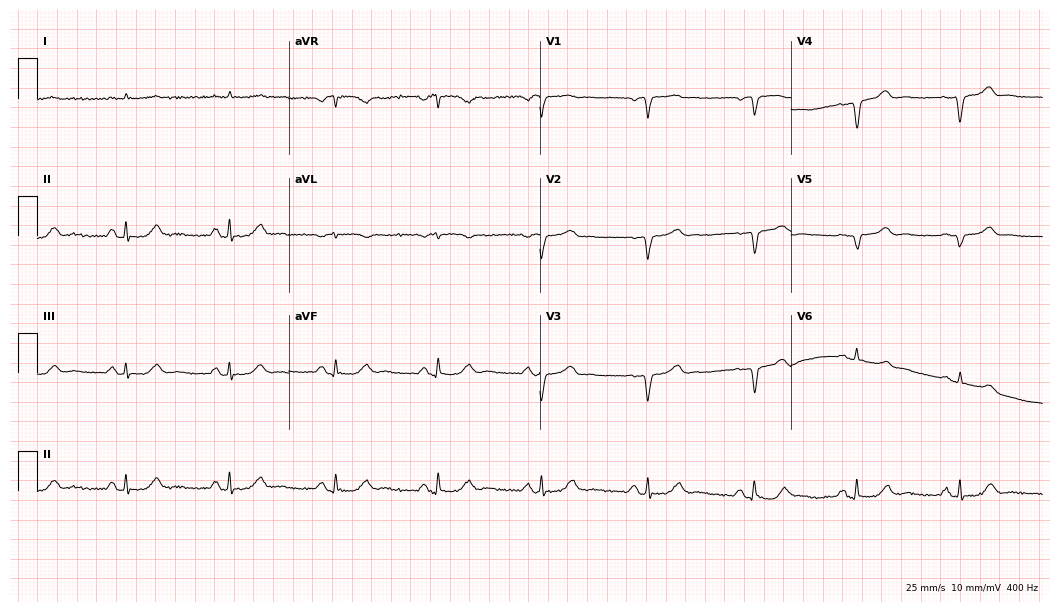
12-lead ECG from a male, 66 years old. Screened for six findings — first-degree AV block, right bundle branch block, left bundle branch block, sinus bradycardia, atrial fibrillation, sinus tachycardia — none is recorded. Other findings, if any, are not listed.